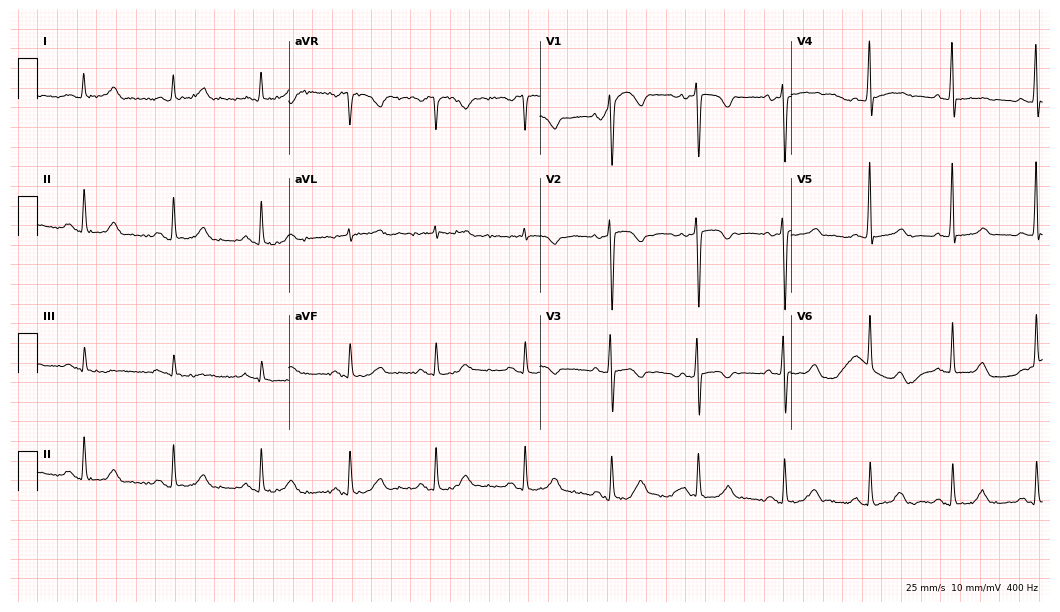
ECG — a 79-year-old female patient. Labelled as a normal ECG.